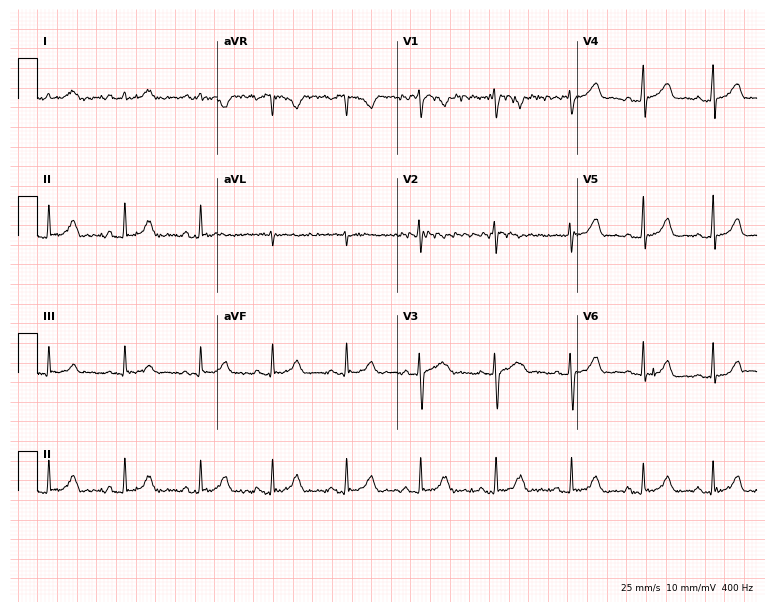
12-lead ECG from a female patient, 25 years old. Labelled as a normal ECG.